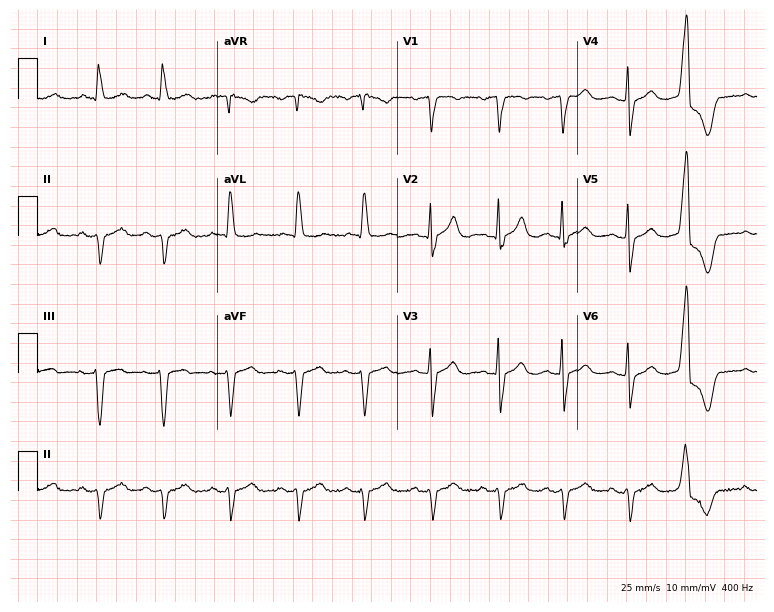
Standard 12-lead ECG recorded from an 82-year-old male patient (7.3-second recording at 400 Hz). None of these six findings is recorded: first-degree AV block, right bundle branch block, left bundle branch block, sinus bradycardia, atrial fibrillation, sinus tachycardia. Only these six findings were labelled.